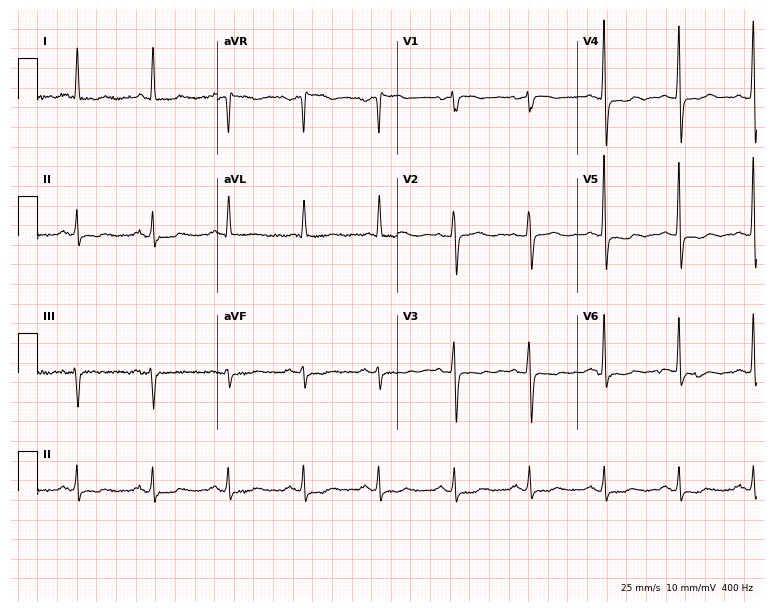
Electrocardiogram (7.3-second recording at 400 Hz), a female, 69 years old. Of the six screened findings (first-degree AV block, right bundle branch block, left bundle branch block, sinus bradycardia, atrial fibrillation, sinus tachycardia), none is recorded.